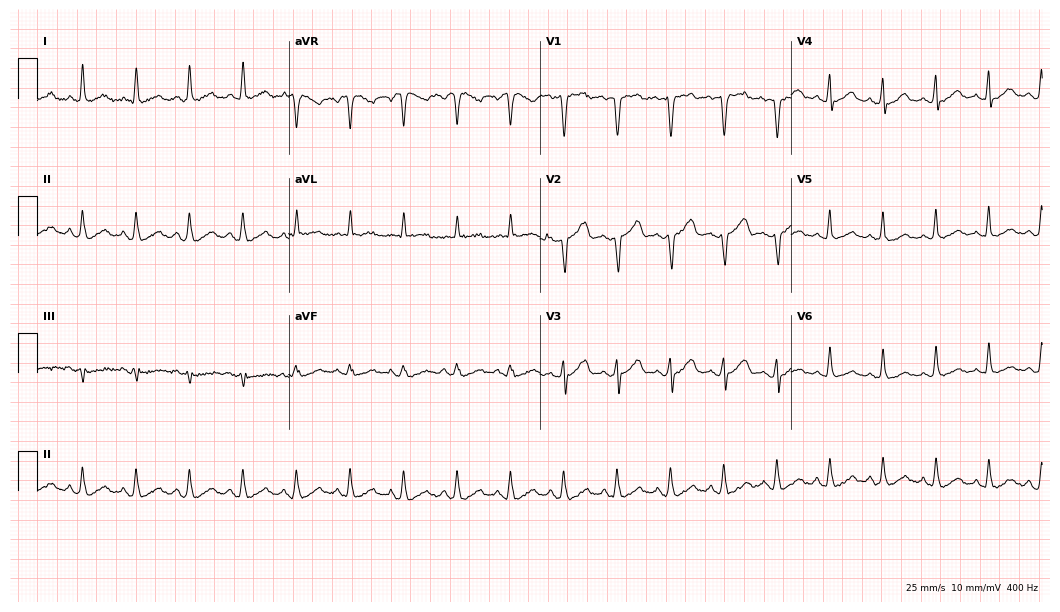
ECG (10.2-second recording at 400 Hz) — a 60-year-old female patient. Screened for six findings — first-degree AV block, right bundle branch block, left bundle branch block, sinus bradycardia, atrial fibrillation, sinus tachycardia — none is recorded.